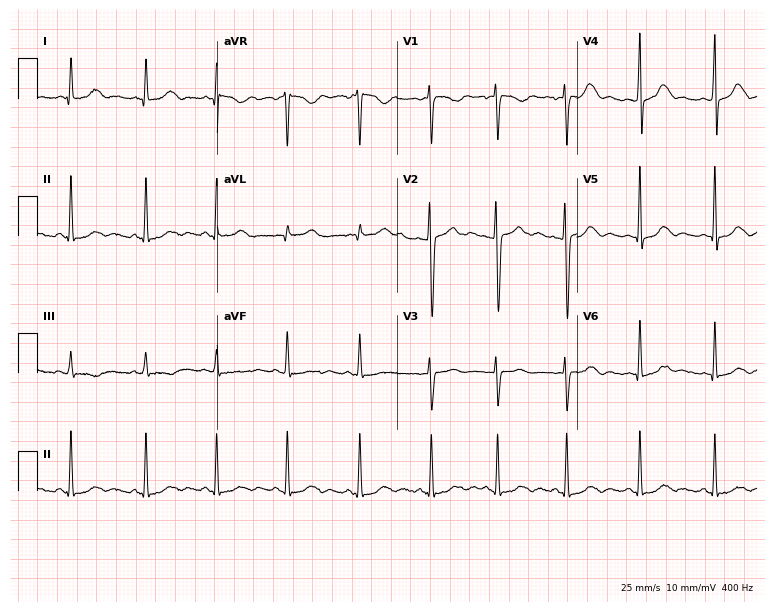
Standard 12-lead ECG recorded from a 25-year-old woman. Read as a normal ECG.